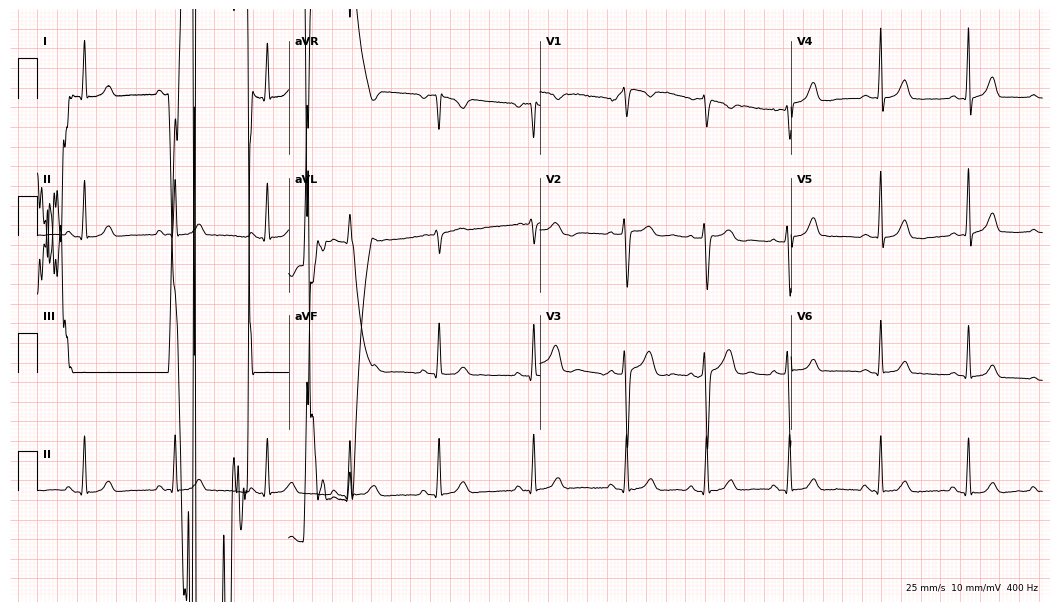
Resting 12-lead electrocardiogram (10.2-second recording at 400 Hz). Patient: a 19-year-old woman. Read as a normal ECG.